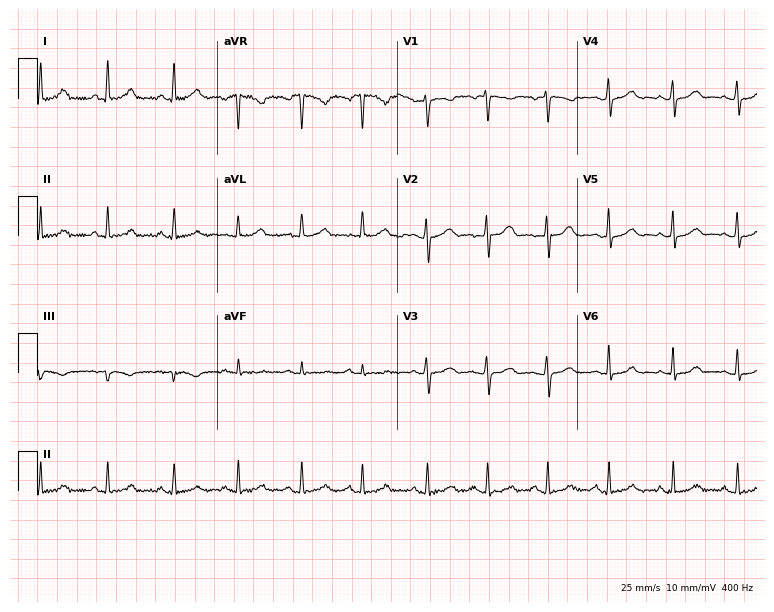
12-lead ECG (7.3-second recording at 400 Hz) from a female patient, 39 years old. Labelled as a normal ECG.